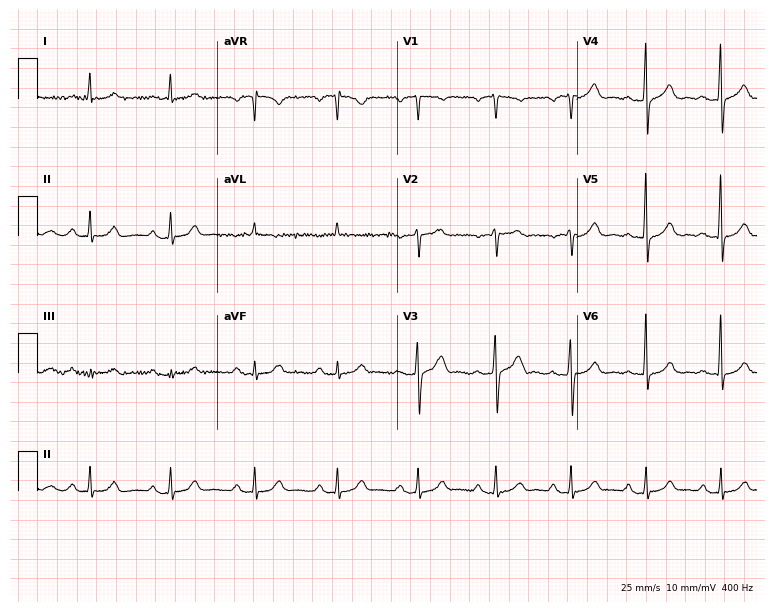
Electrocardiogram (7.3-second recording at 400 Hz), a male patient, 64 years old. Of the six screened findings (first-degree AV block, right bundle branch block (RBBB), left bundle branch block (LBBB), sinus bradycardia, atrial fibrillation (AF), sinus tachycardia), none is recorded. Only these six findings were labelled.